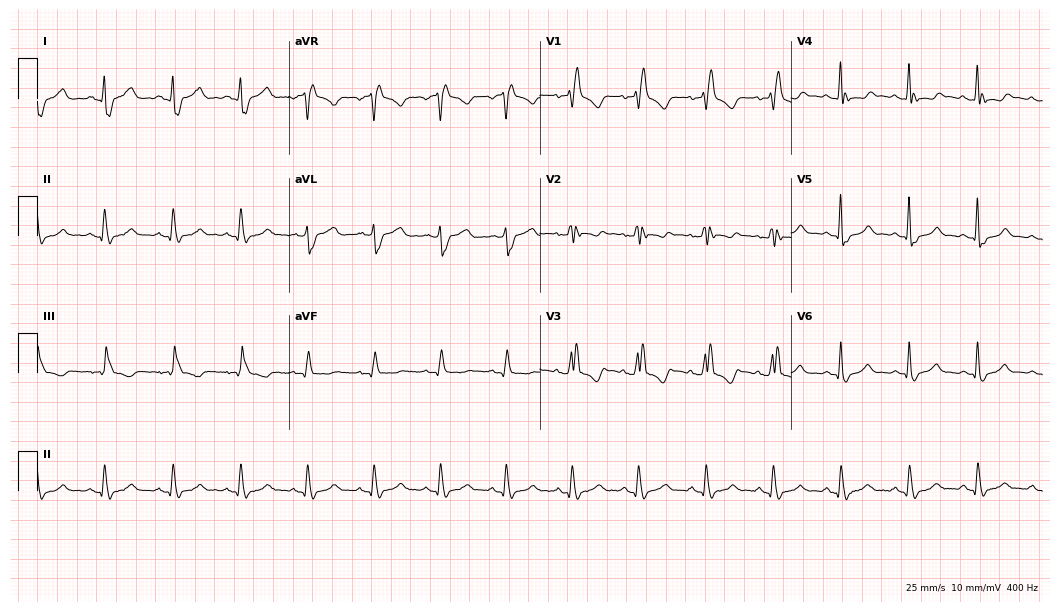
Standard 12-lead ECG recorded from a woman, 44 years old. The tracing shows right bundle branch block.